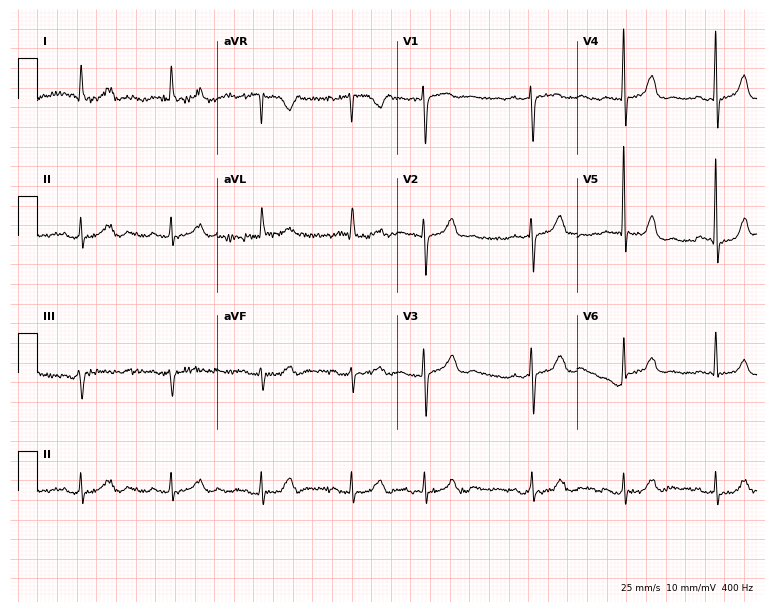
ECG — a female patient, 81 years old. Screened for six findings — first-degree AV block, right bundle branch block, left bundle branch block, sinus bradycardia, atrial fibrillation, sinus tachycardia — none is recorded.